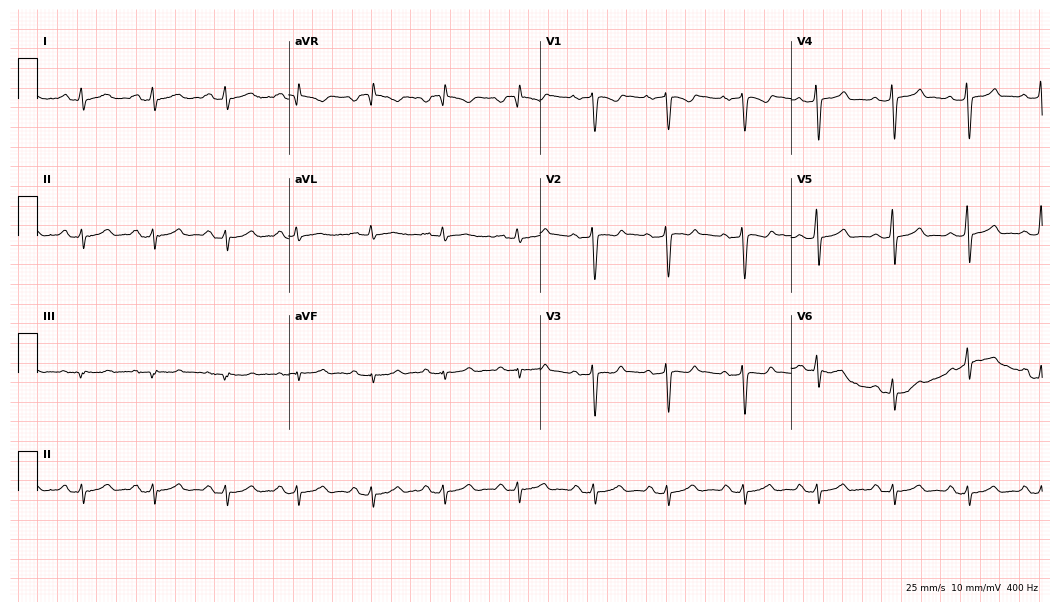
Electrocardiogram (10.2-second recording at 400 Hz), a 21-year-old woman. Of the six screened findings (first-degree AV block, right bundle branch block (RBBB), left bundle branch block (LBBB), sinus bradycardia, atrial fibrillation (AF), sinus tachycardia), none is recorded.